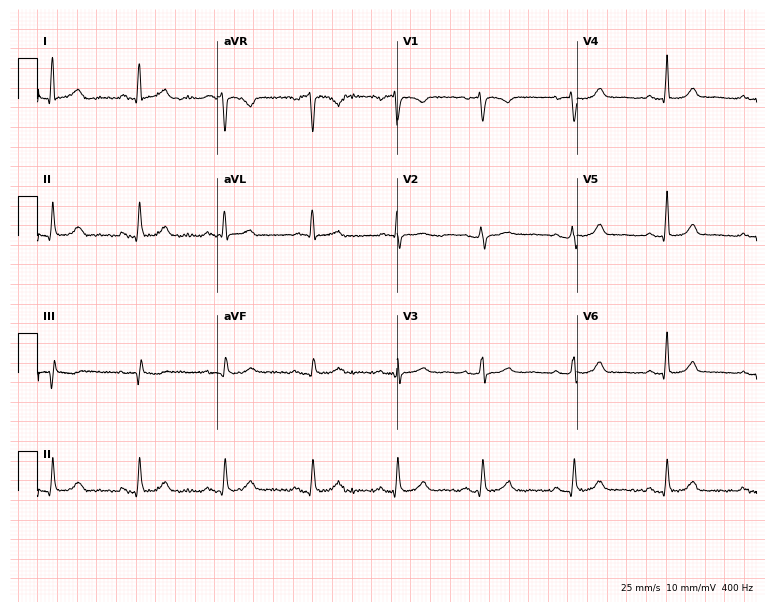
12-lead ECG (7.3-second recording at 400 Hz) from a 58-year-old female. Labelled as a normal ECG.